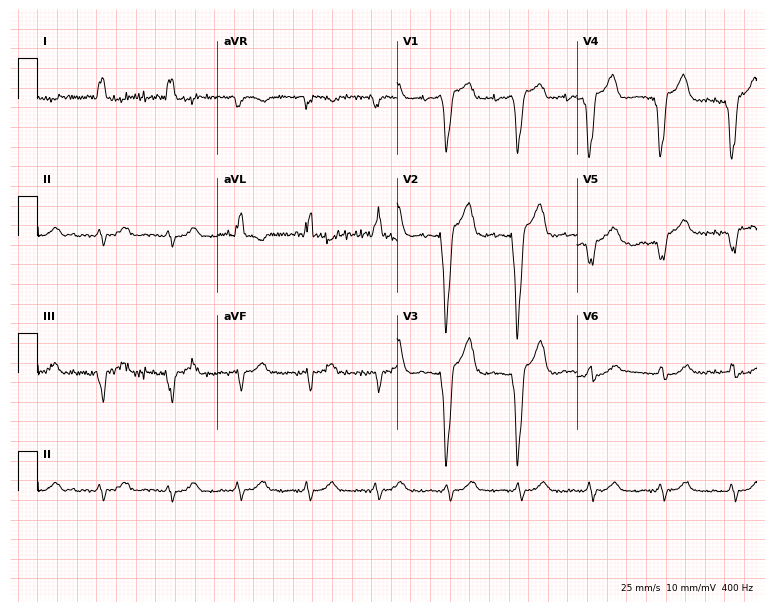
Resting 12-lead electrocardiogram. Patient: a 76-year-old woman. None of these six findings is recorded: first-degree AV block, right bundle branch block, left bundle branch block, sinus bradycardia, atrial fibrillation, sinus tachycardia.